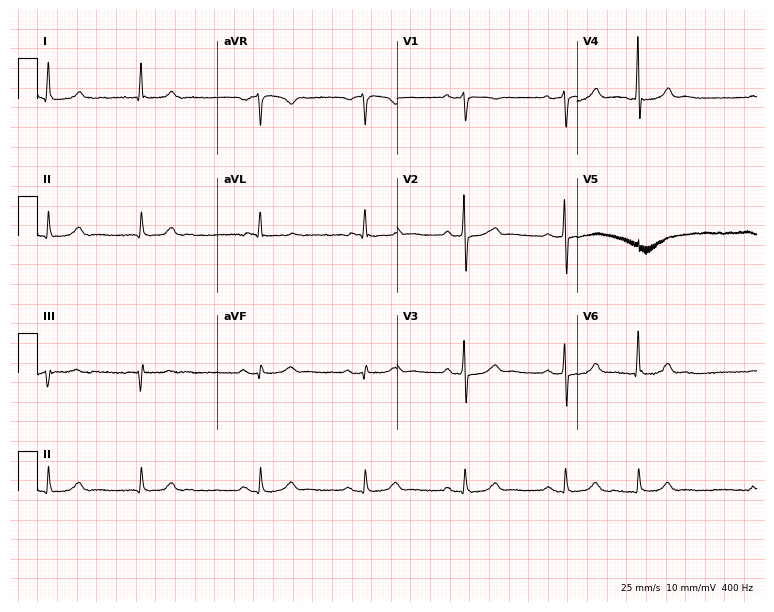
Resting 12-lead electrocardiogram. Patient: a 77-year-old male. None of these six findings is recorded: first-degree AV block, right bundle branch block (RBBB), left bundle branch block (LBBB), sinus bradycardia, atrial fibrillation (AF), sinus tachycardia. Only these six findings were labelled.